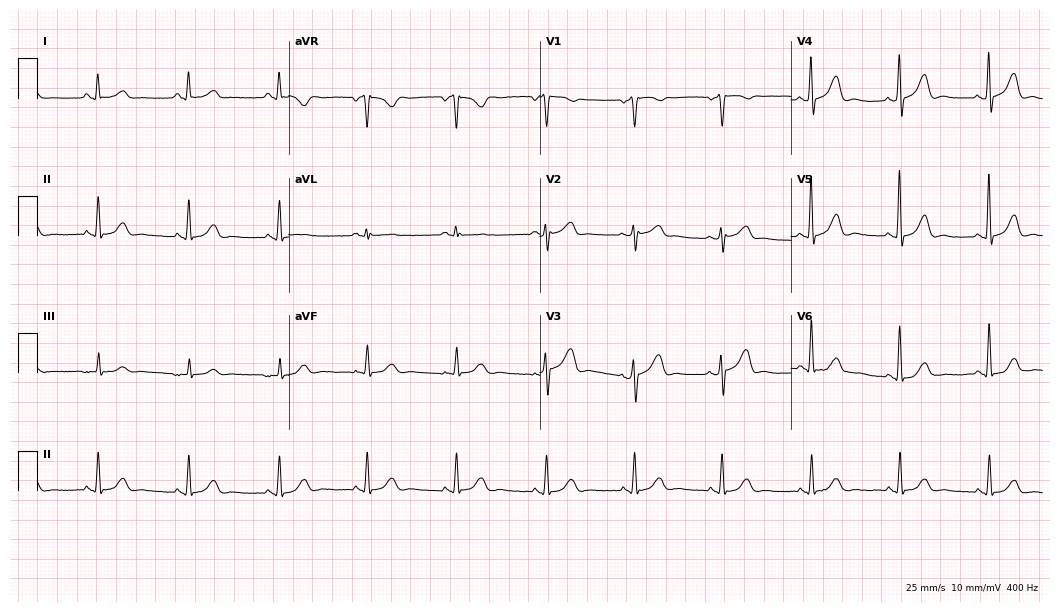
Electrocardiogram, a male, 74 years old. Overall reading on record: normal ECG.